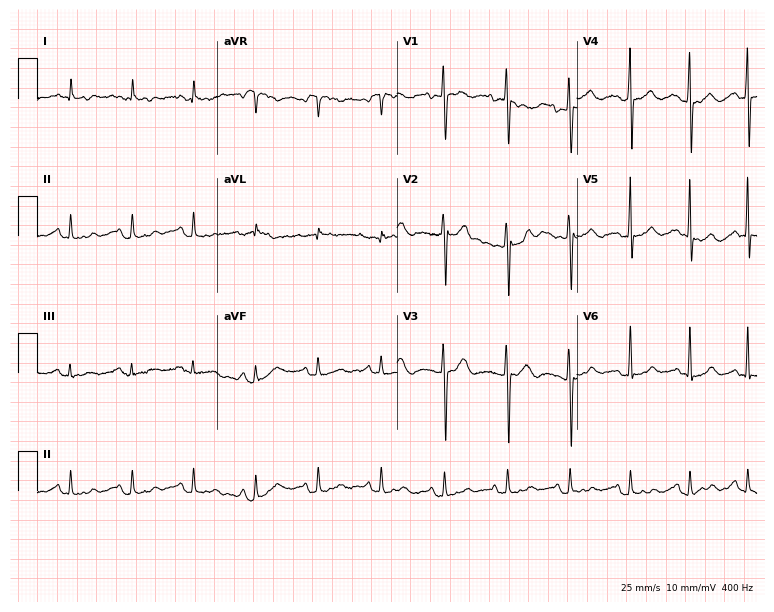
12-lead ECG from a woman, 66 years old. Screened for six findings — first-degree AV block, right bundle branch block, left bundle branch block, sinus bradycardia, atrial fibrillation, sinus tachycardia — none is recorded. Findings outside these six are not listed.